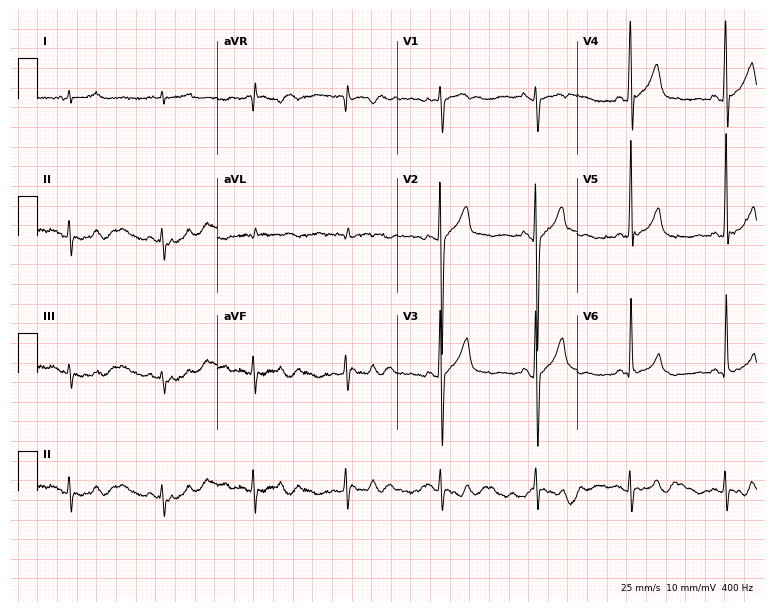
Electrocardiogram, a 22-year-old male. Of the six screened findings (first-degree AV block, right bundle branch block, left bundle branch block, sinus bradycardia, atrial fibrillation, sinus tachycardia), none is recorded. Other findings, if any, are not listed.